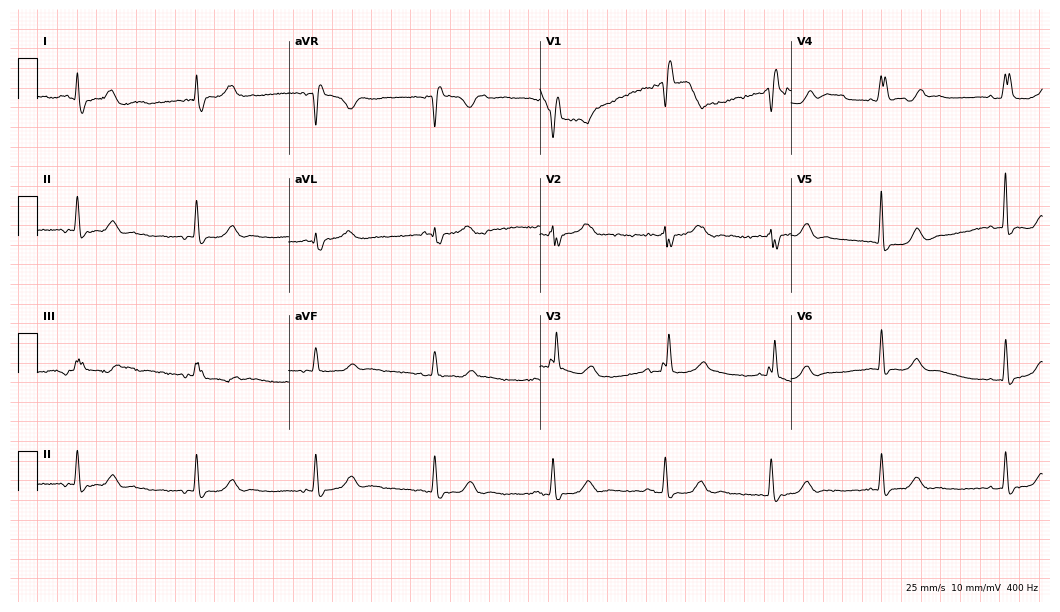
12-lead ECG (10.2-second recording at 400 Hz) from a female patient, 73 years old. Screened for six findings — first-degree AV block, right bundle branch block, left bundle branch block, sinus bradycardia, atrial fibrillation, sinus tachycardia — none is recorded. Only these six findings were labelled.